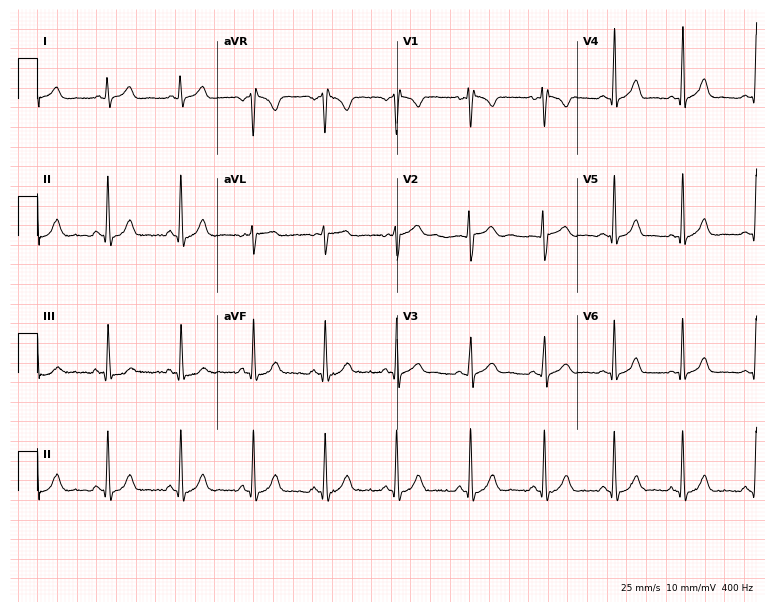
Resting 12-lead electrocardiogram (7.3-second recording at 400 Hz). Patient: a female, 17 years old. None of these six findings is recorded: first-degree AV block, right bundle branch block (RBBB), left bundle branch block (LBBB), sinus bradycardia, atrial fibrillation (AF), sinus tachycardia. Findings outside these six are not listed.